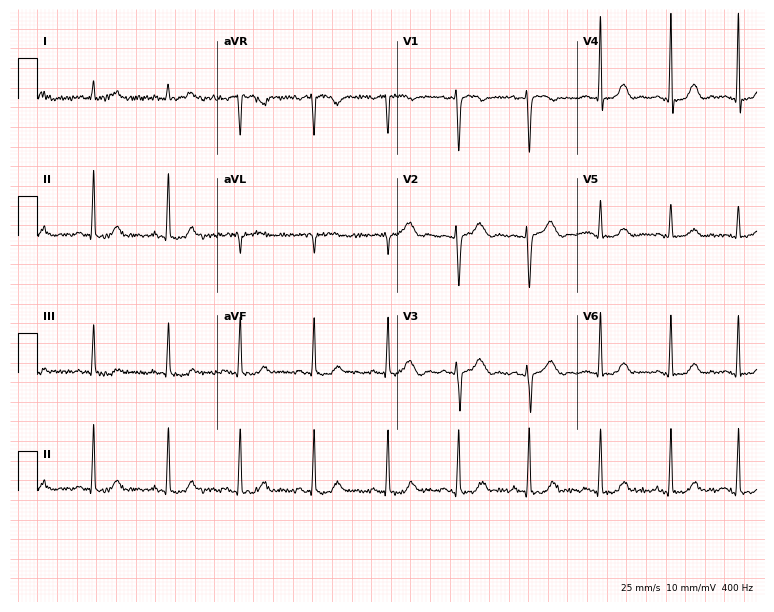
12-lead ECG (7.3-second recording at 400 Hz) from a 34-year-old woman. Labelled as a normal ECG.